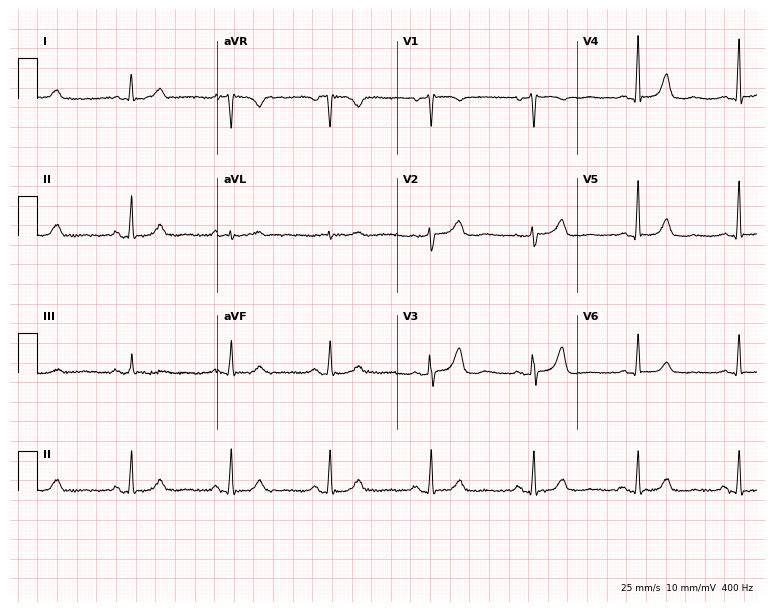
Electrocardiogram (7.3-second recording at 400 Hz), a 66-year-old woman. Overall reading on record: normal ECG.